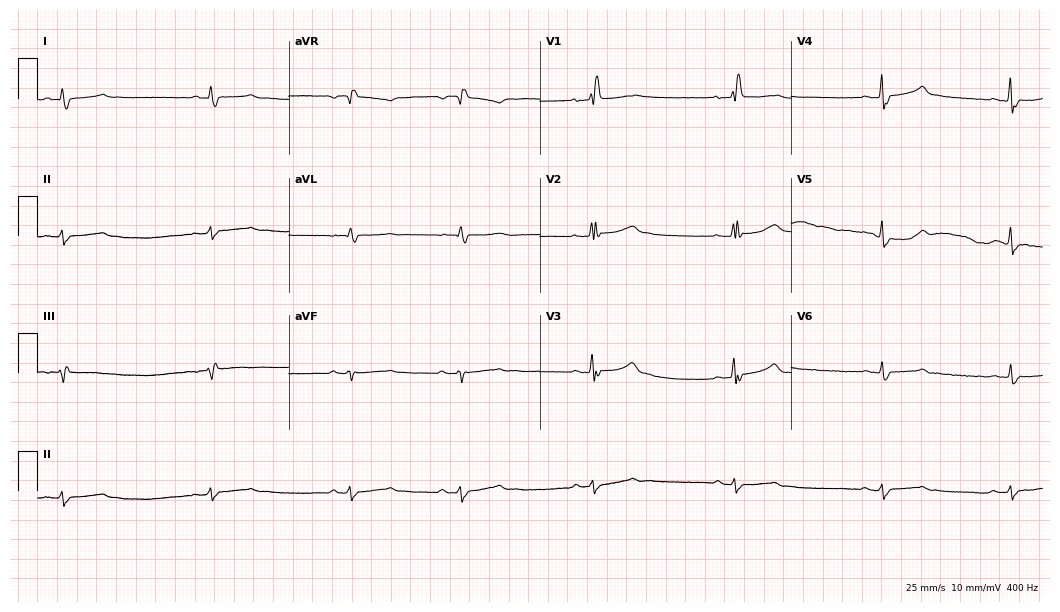
Standard 12-lead ECG recorded from a male, 67 years old (10.2-second recording at 400 Hz). The tracing shows right bundle branch block.